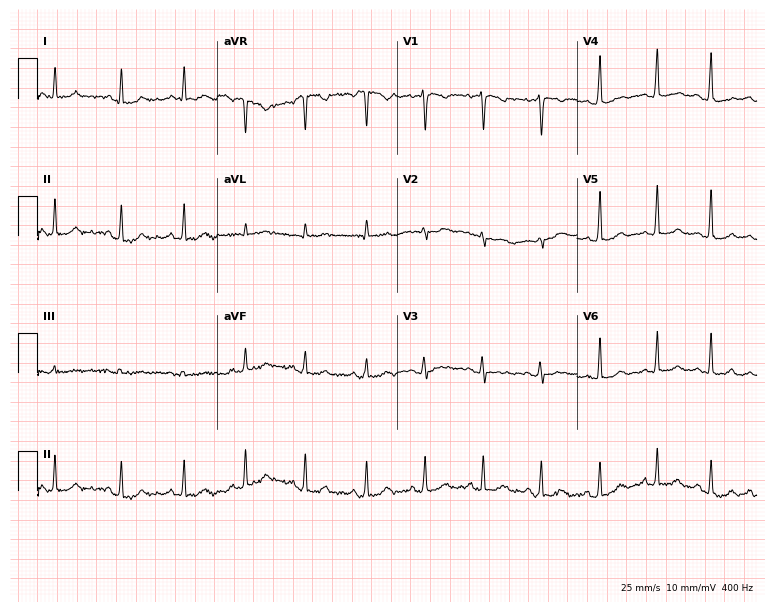
ECG — a 21-year-old woman. Screened for six findings — first-degree AV block, right bundle branch block, left bundle branch block, sinus bradycardia, atrial fibrillation, sinus tachycardia — none is recorded.